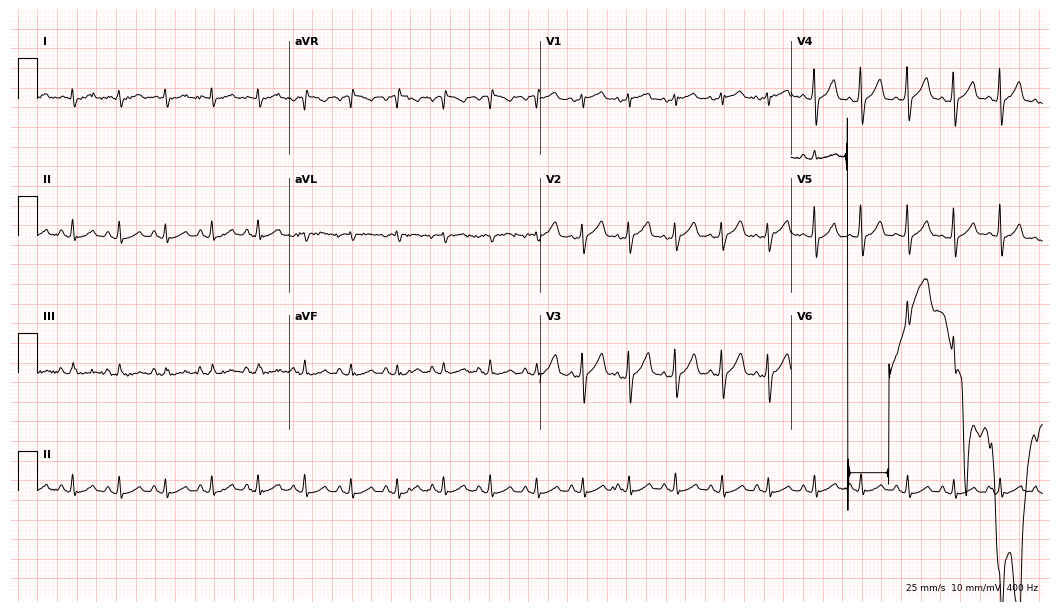
Resting 12-lead electrocardiogram (10.2-second recording at 400 Hz). Patient: a man, 83 years old. The tracing shows sinus tachycardia (a sinus rate of 100 beats per minute or more).